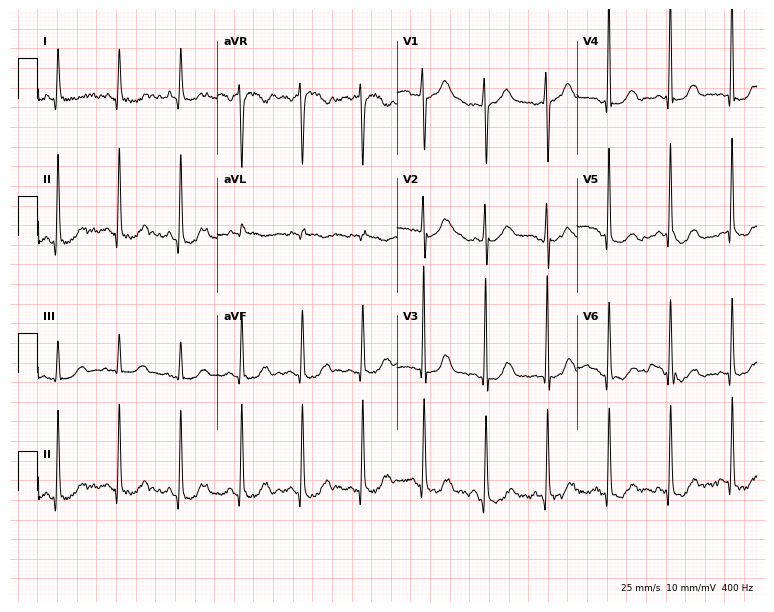
Resting 12-lead electrocardiogram. Patient: a 67-year-old female. Read as a normal ECG.